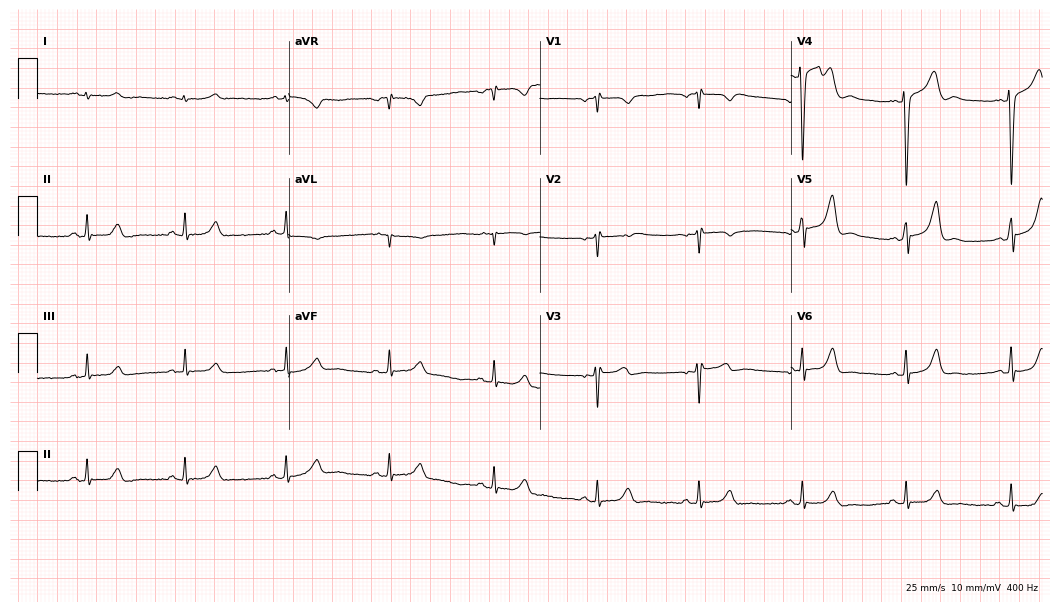
Resting 12-lead electrocardiogram (10.2-second recording at 400 Hz). Patient: a 38-year-old man. None of these six findings is recorded: first-degree AV block, right bundle branch block, left bundle branch block, sinus bradycardia, atrial fibrillation, sinus tachycardia.